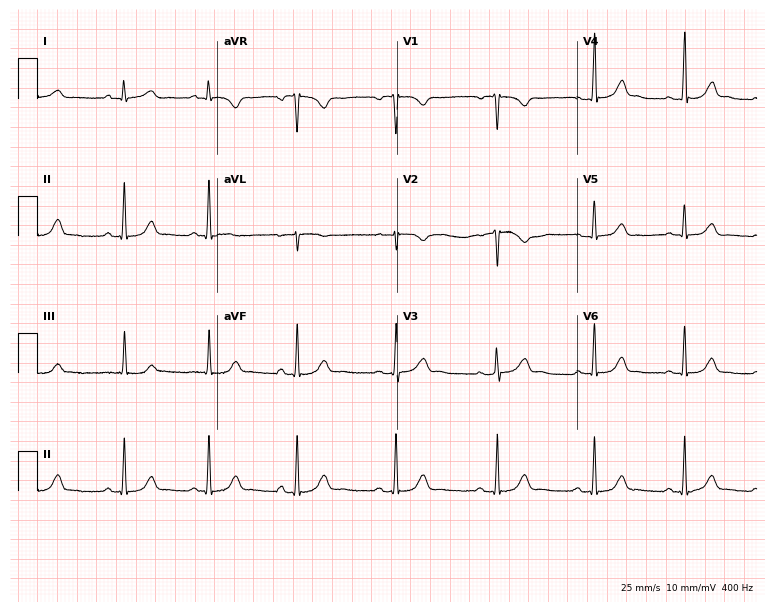
Resting 12-lead electrocardiogram. Patient: a female, 31 years old. None of these six findings is recorded: first-degree AV block, right bundle branch block (RBBB), left bundle branch block (LBBB), sinus bradycardia, atrial fibrillation (AF), sinus tachycardia.